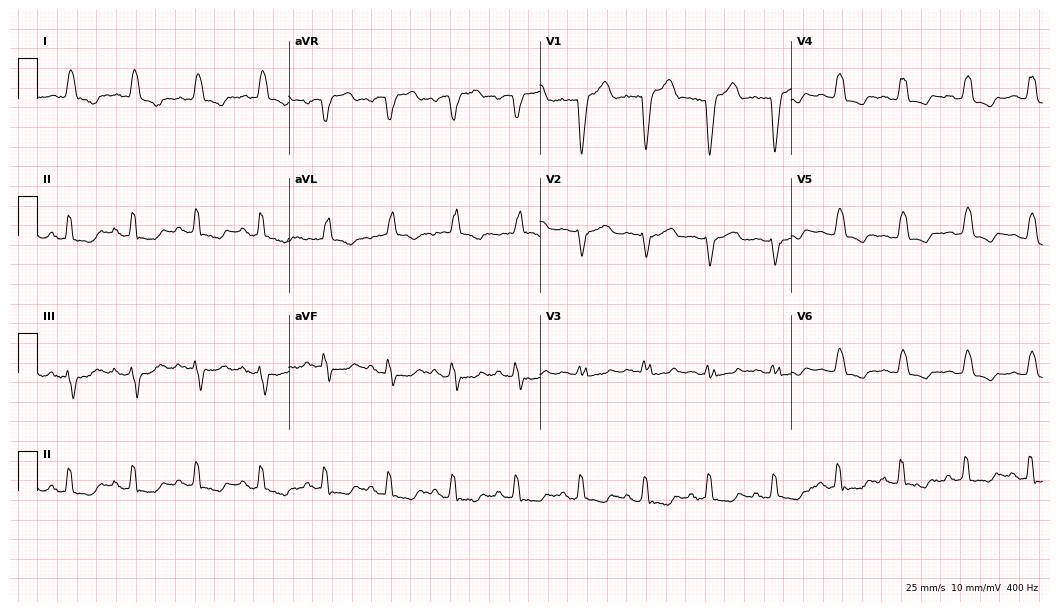
ECG (10.2-second recording at 400 Hz) — a female, 84 years old. Findings include left bundle branch block (LBBB).